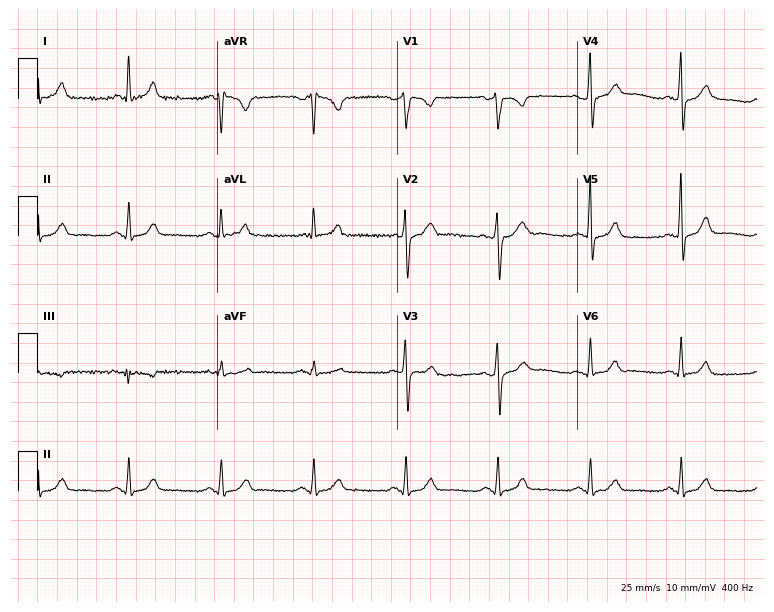
Resting 12-lead electrocardiogram (7.3-second recording at 400 Hz). Patient: a 72-year-old male. None of these six findings is recorded: first-degree AV block, right bundle branch block (RBBB), left bundle branch block (LBBB), sinus bradycardia, atrial fibrillation (AF), sinus tachycardia. Only these six findings were labelled.